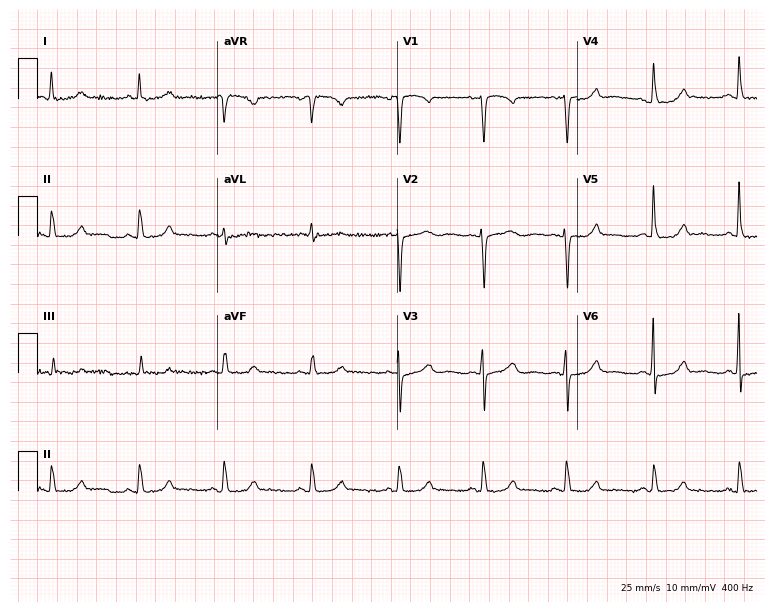
Standard 12-lead ECG recorded from a woman, 76 years old (7.3-second recording at 400 Hz). None of these six findings is recorded: first-degree AV block, right bundle branch block, left bundle branch block, sinus bradycardia, atrial fibrillation, sinus tachycardia. Only these six findings were labelled.